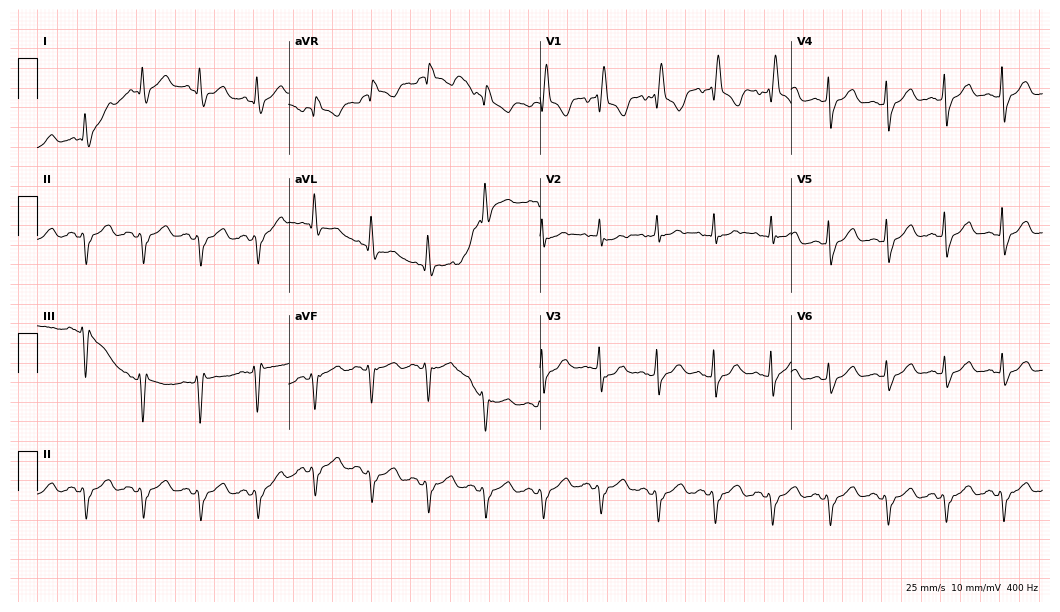
12-lead ECG from a male, 81 years old. No first-degree AV block, right bundle branch block, left bundle branch block, sinus bradycardia, atrial fibrillation or sinus tachycardia recorded for this tracing.